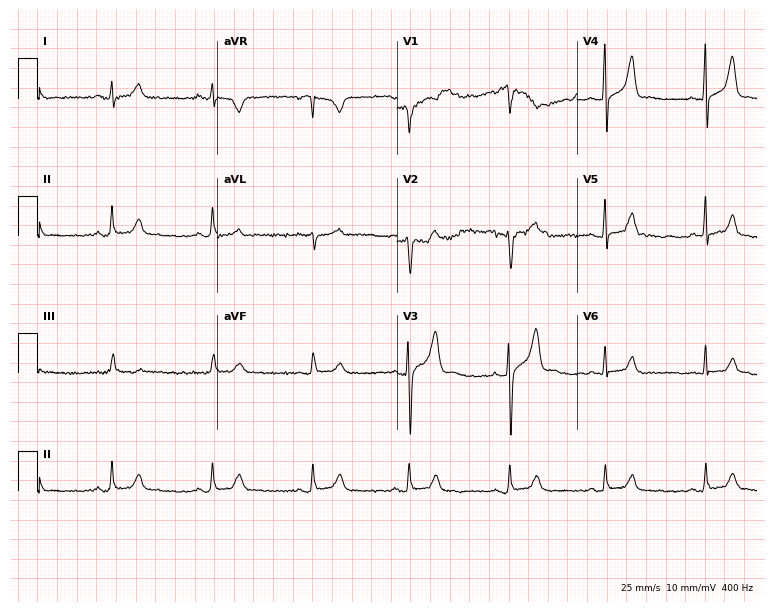
Resting 12-lead electrocardiogram. Patient: a 35-year-old male. None of these six findings is recorded: first-degree AV block, right bundle branch block, left bundle branch block, sinus bradycardia, atrial fibrillation, sinus tachycardia.